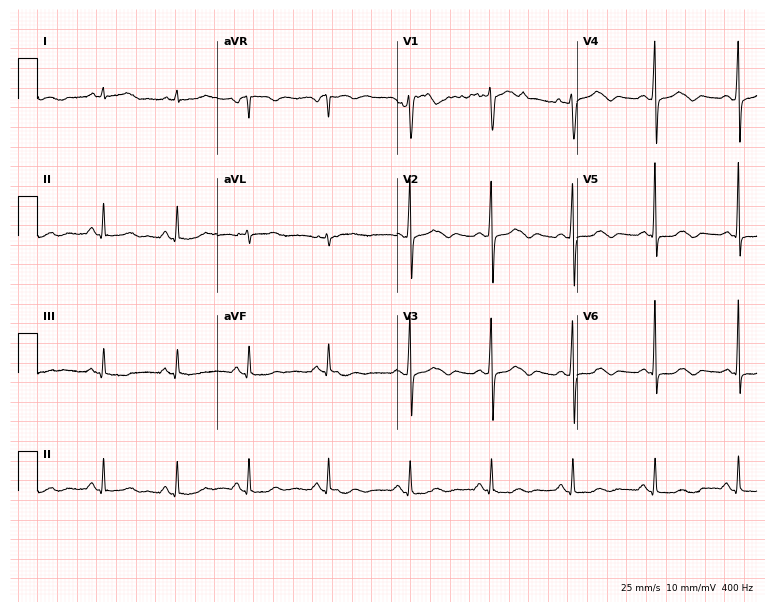
Standard 12-lead ECG recorded from a woman, 51 years old. Read as a normal ECG.